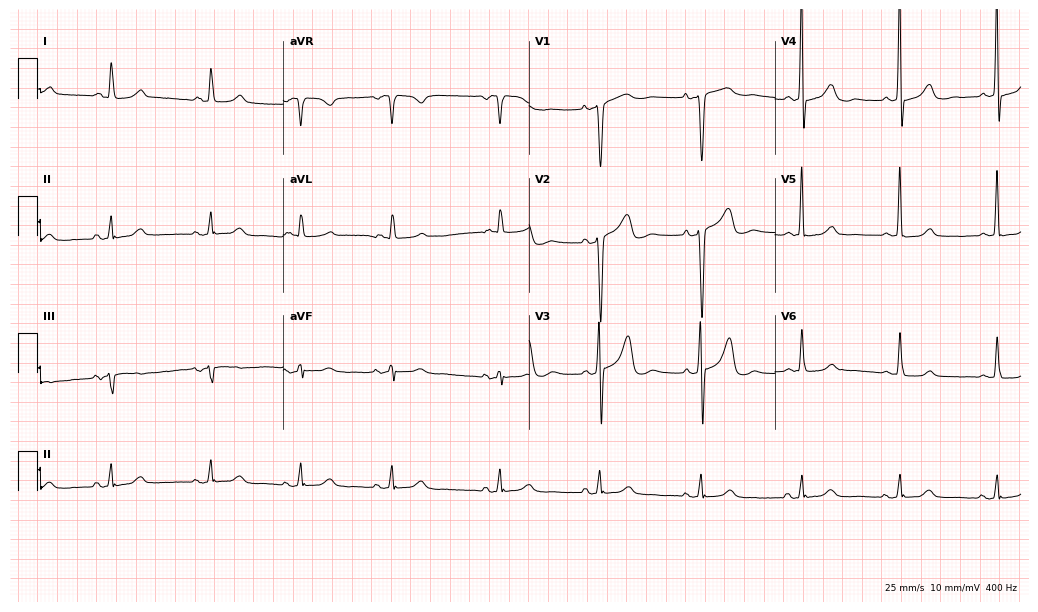
12-lead ECG from a woman, 58 years old. Recorded interpretation: within normal limits.